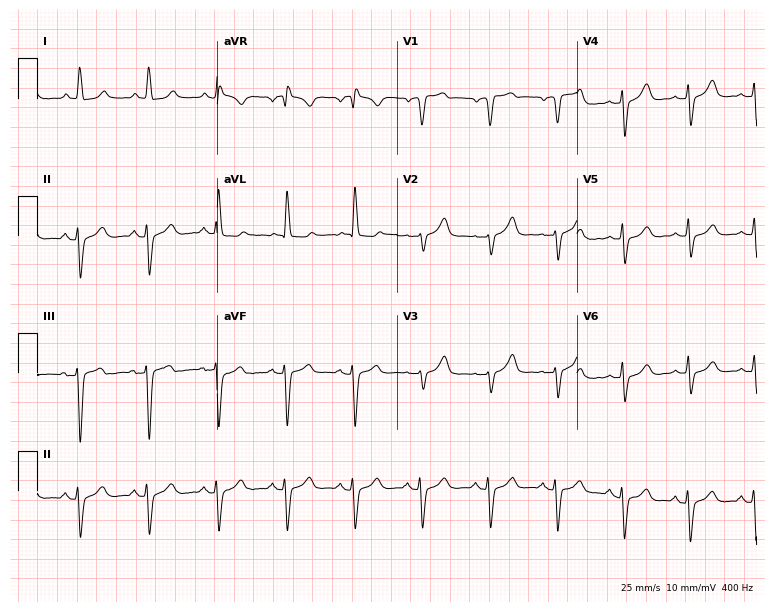
Resting 12-lead electrocardiogram. Patient: a male, 70 years old. None of these six findings is recorded: first-degree AV block, right bundle branch block (RBBB), left bundle branch block (LBBB), sinus bradycardia, atrial fibrillation (AF), sinus tachycardia.